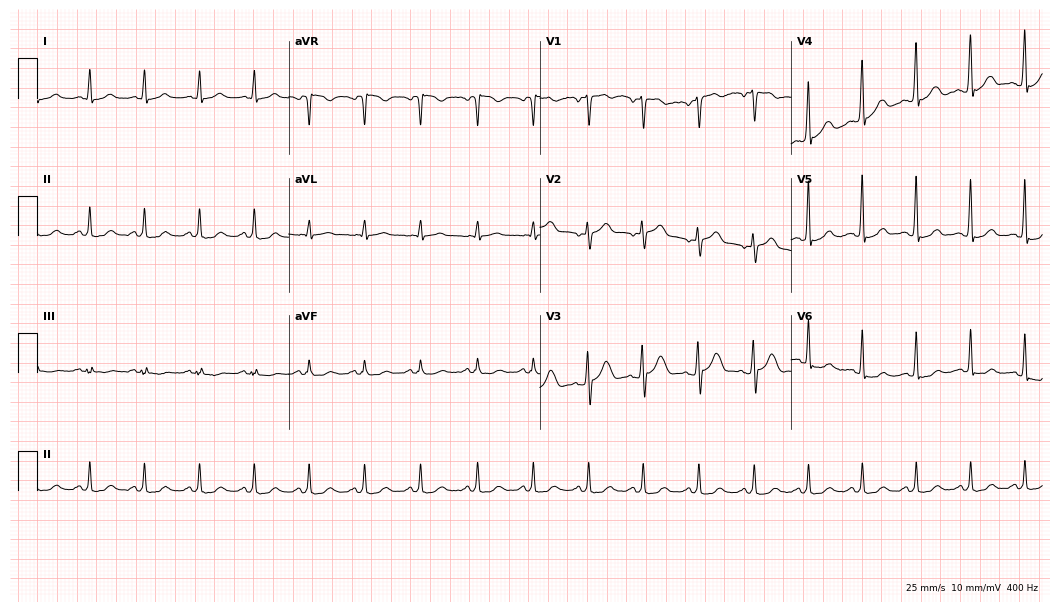
Resting 12-lead electrocardiogram (10.2-second recording at 400 Hz). Patient: a 48-year-old male. None of these six findings is recorded: first-degree AV block, right bundle branch block, left bundle branch block, sinus bradycardia, atrial fibrillation, sinus tachycardia. Only these six findings were labelled.